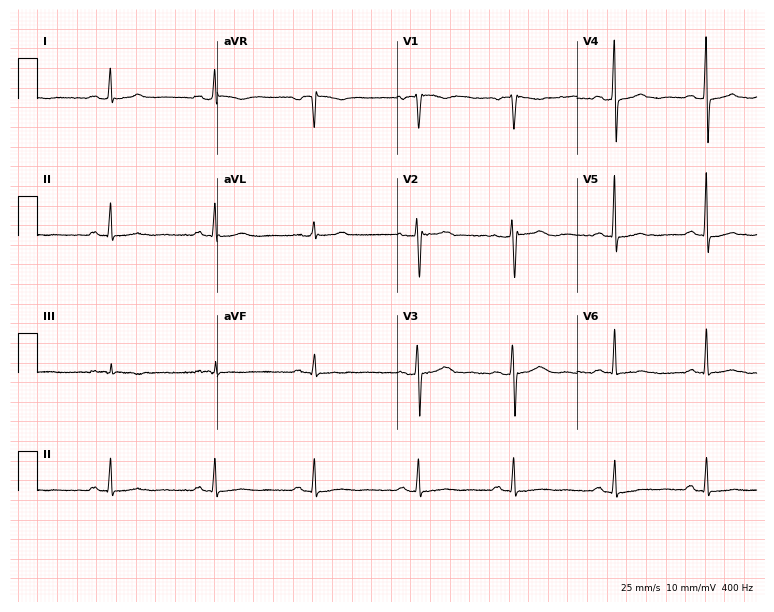
ECG (7.3-second recording at 400 Hz) — a woman, 54 years old. Screened for six findings — first-degree AV block, right bundle branch block, left bundle branch block, sinus bradycardia, atrial fibrillation, sinus tachycardia — none is recorded.